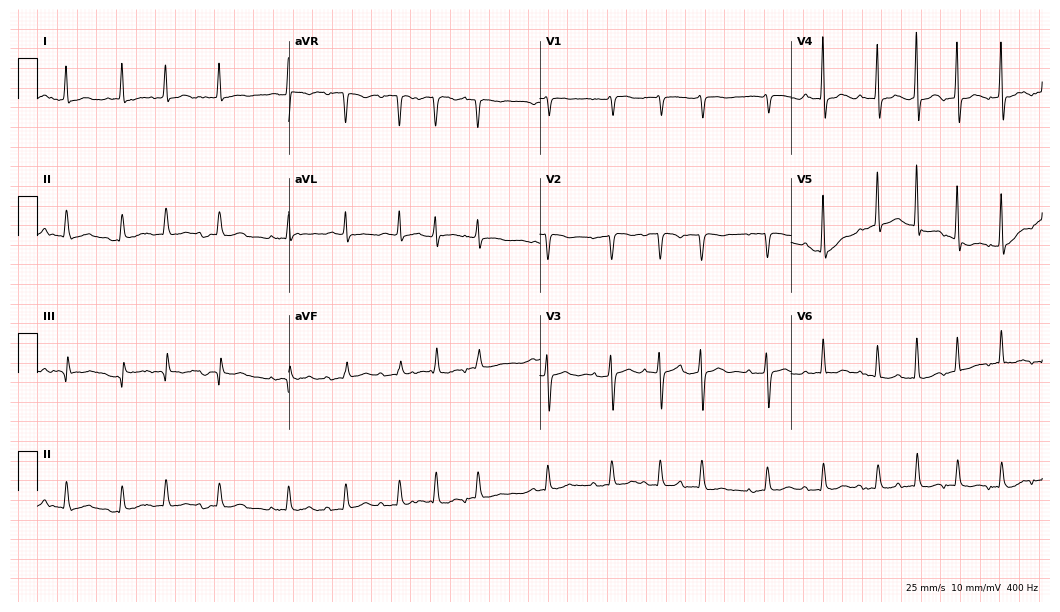
12-lead ECG (10.2-second recording at 400 Hz) from a 75-year-old female patient. Screened for six findings — first-degree AV block, right bundle branch block, left bundle branch block, sinus bradycardia, atrial fibrillation, sinus tachycardia — none is recorded.